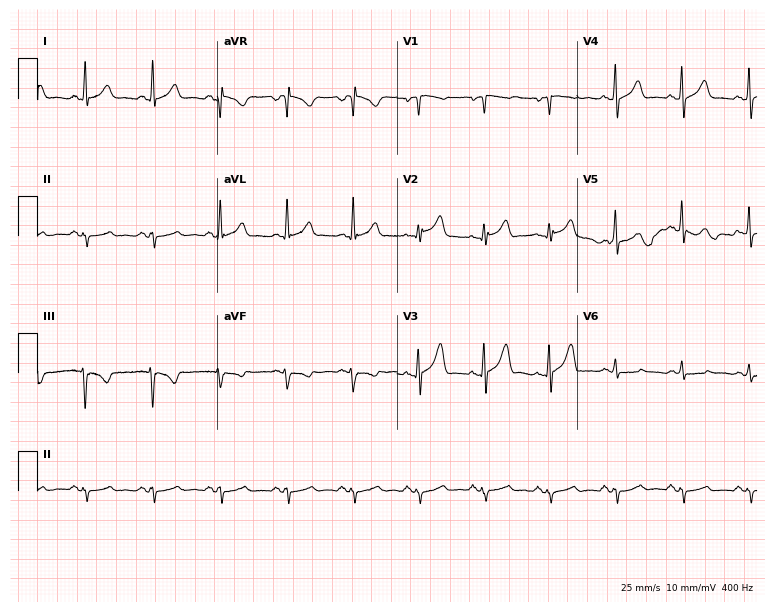
Standard 12-lead ECG recorded from a man, 69 years old (7.3-second recording at 400 Hz). None of these six findings is recorded: first-degree AV block, right bundle branch block (RBBB), left bundle branch block (LBBB), sinus bradycardia, atrial fibrillation (AF), sinus tachycardia. Findings outside these six are not listed.